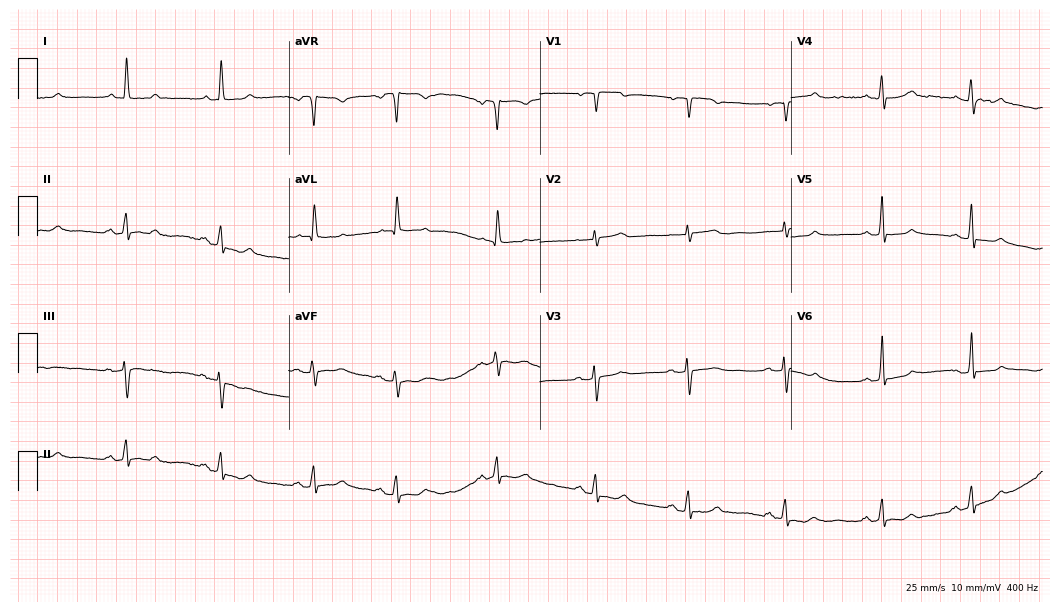
Electrocardiogram, an 85-year-old female patient. Of the six screened findings (first-degree AV block, right bundle branch block (RBBB), left bundle branch block (LBBB), sinus bradycardia, atrial fibrillation (AF), sinus tachycardia), none is recorded. Findings outside these six are not listed.